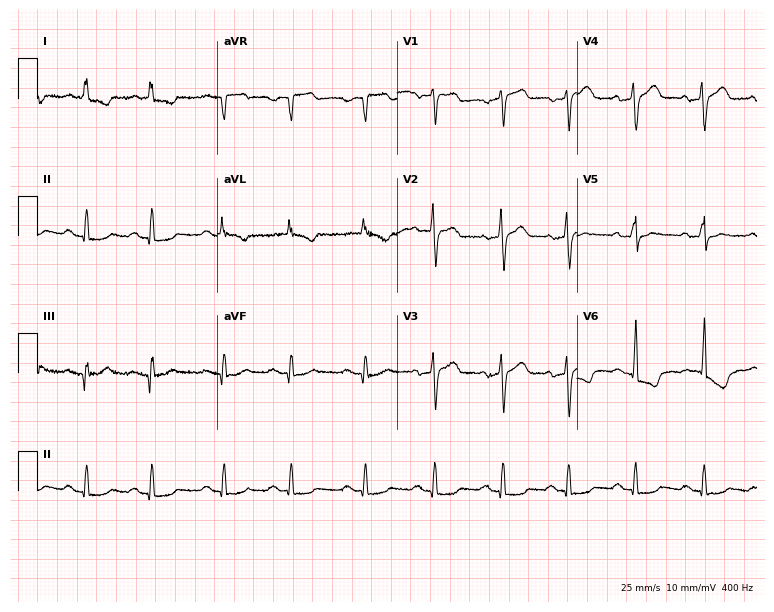
Standard 12-lead ECG recorded from a 67-year-old male patient (7.3-second recording at 400 Hz). None of these six findings is recorded: first-degree AV block, right bundle branch block, left bundle branch block, sinus bradycardia, atrial fibrillation, sinus tachycardia.